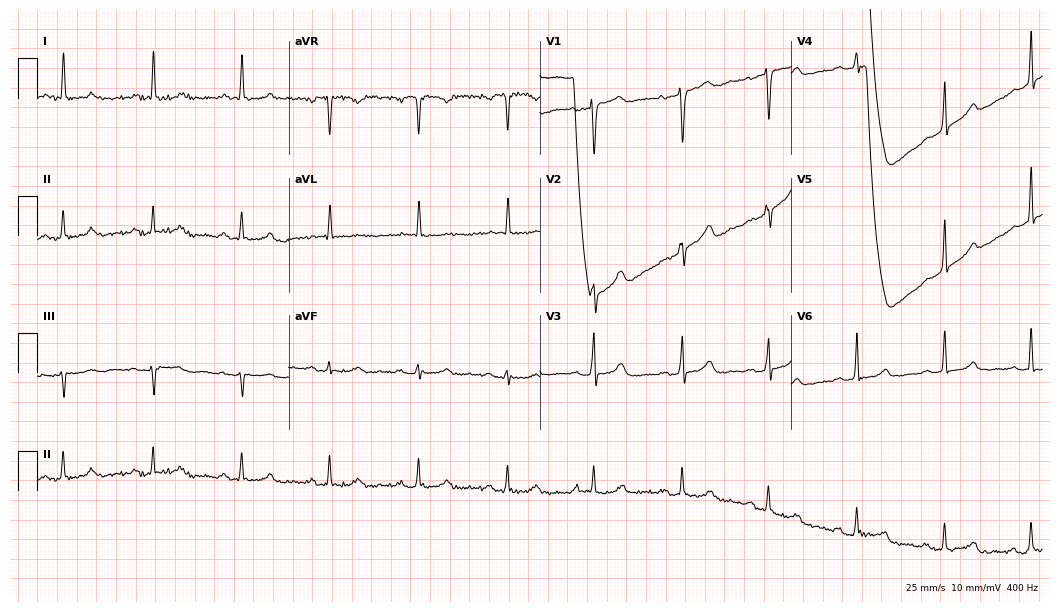
Standard 12-lead ECG recorded from a woman, 72 years old. None of these six findings is recorded: first-degree AV block, right bundle branch block (RBBB), left bundle branch block (LBBB), sinus bradycardia, atrial fibrillation (AF), sinus tachycardia.